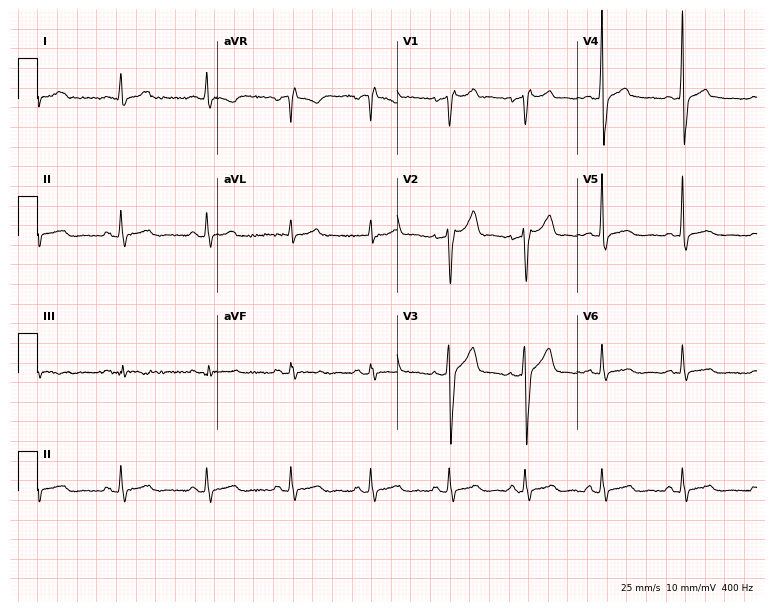
12-lead ECG from a 34-year-old man. Screened for six findings — first-degree AV block, right bundle branch block (RBBB), left bundle branch block (LBBB), sinus bradycardia, atrial fibrillation (AF), sinus tachycardia — none is recorded. Only these six findings were labelled.